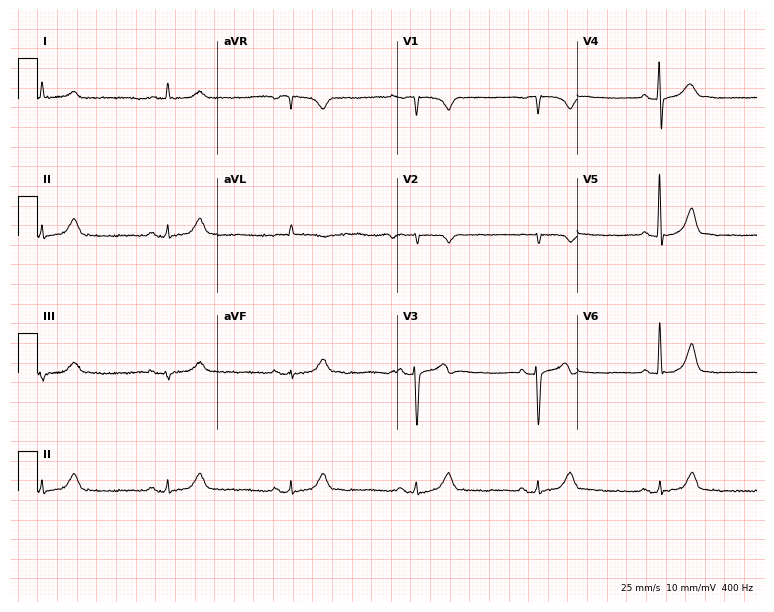
Electrocardiogram (7.3-second recording at 400 Hz), an 82-year-old man. Interpretation includes sinus bradycardia (a sinus rate of 50 beats per minute or less).